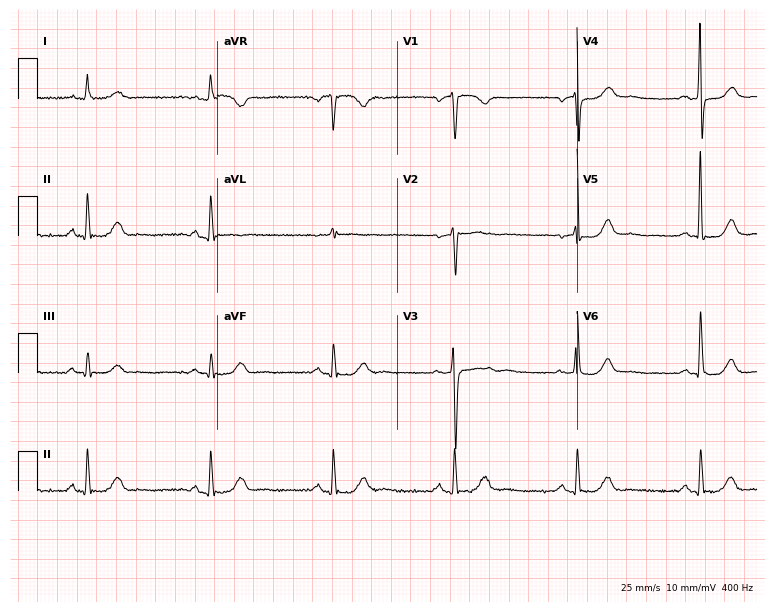
12-lead ECG from a 70-year-old woman (7.3-second recording at 400 Hz). No first-degree AV block, right bundle branch block, left bundle branch block, sinus bradycardia, atrial fibrillation or sinus tachycardia recorded for this tracing. Only these six findings were labelled.